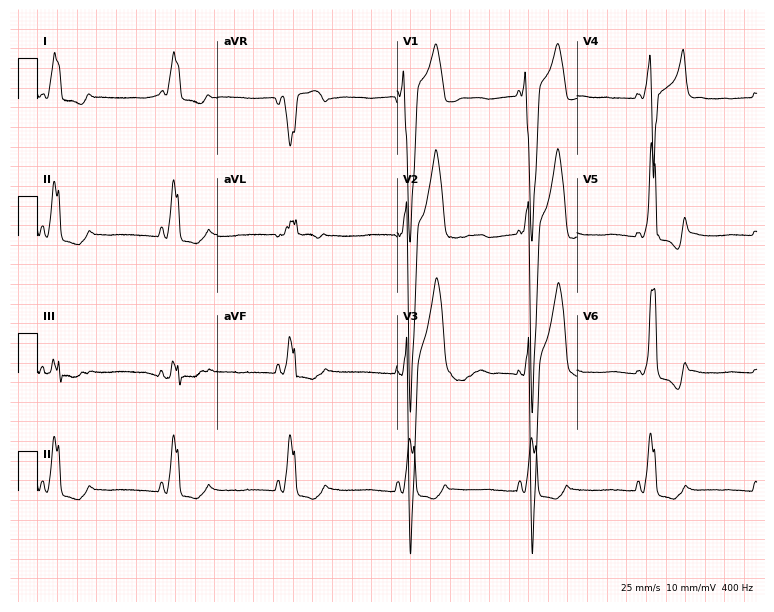
Resting 12-lead electrocardiogram. Patient: a man, 20 years old. The tracing shows left bundle branch block.